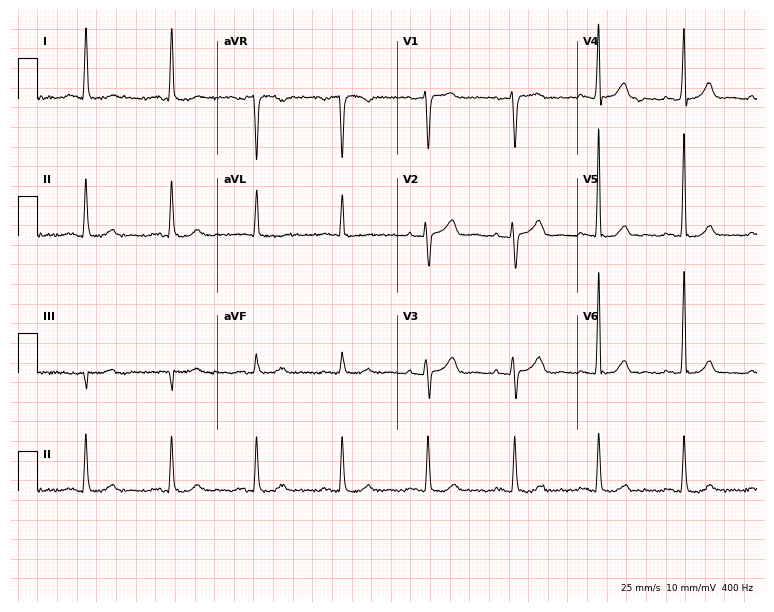
12-lead ECG from a 69-year-old woman (7.3-second recording at 400 Hz). No first-degree AV block, right bundle branch block, left bundle branch block, sinus bradycardia, atrial fibrillation or sinus tachycardia recorded for this tracing.